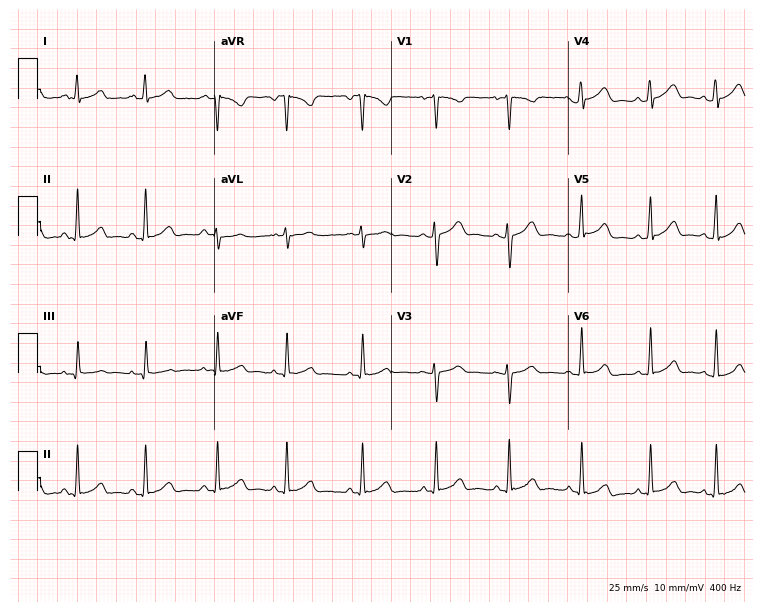
Electrocardiogram (7.2-second recording at 400 Hz), an 18-year-old female. Overall reading on record: normal ECG.